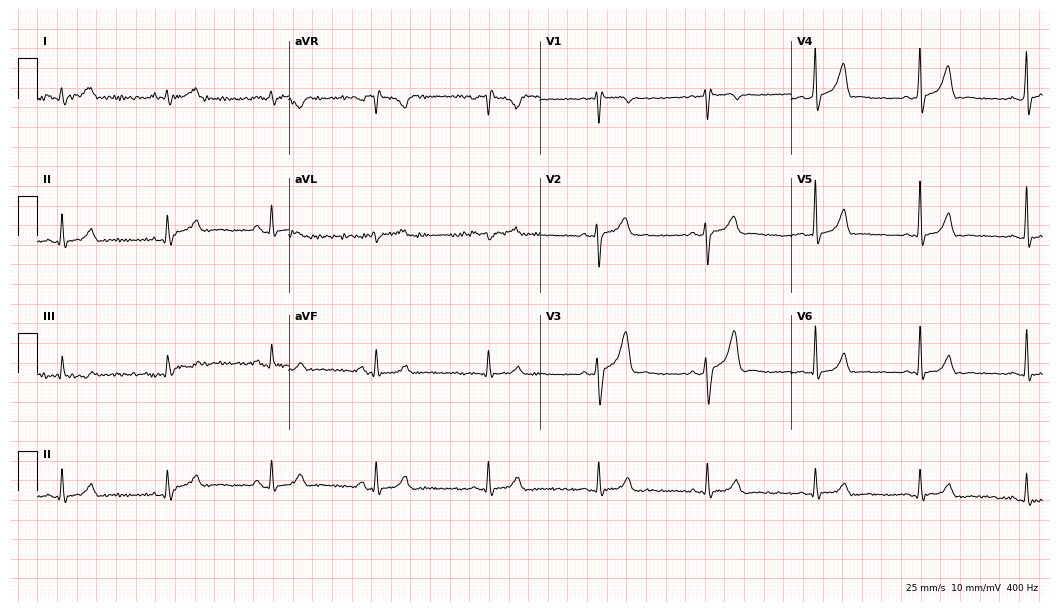
Electrocardiogram, a 43-year-old male patient. Overall reading on record: normal ECG.